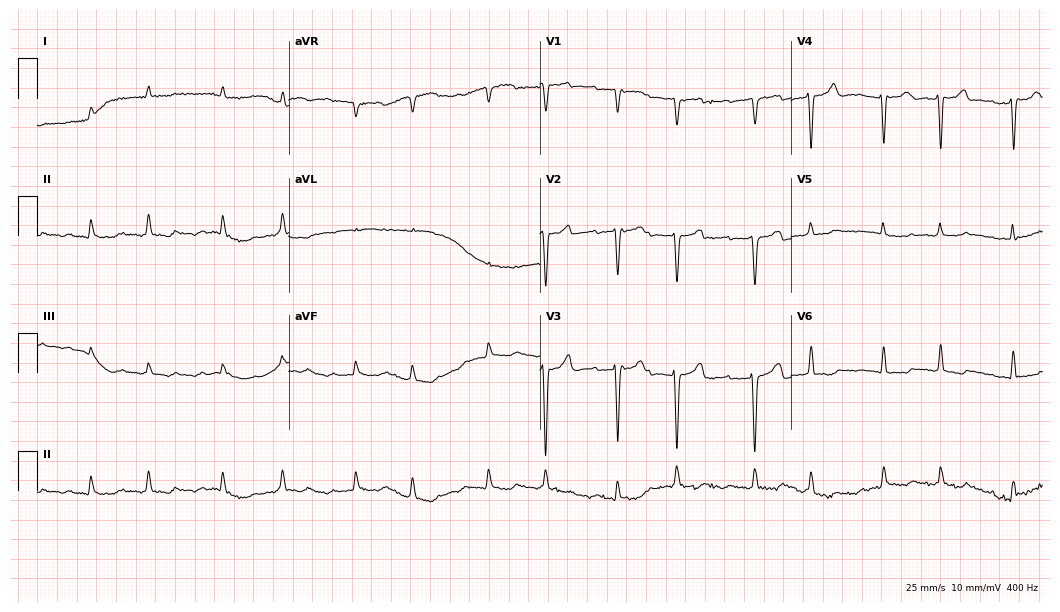
12-lead ECG from a man, 81 years old (10.2-second recording at 400 Hz). No first-degree AV block, right bundle branch block (RBBB), left bundle branch block (LBBB), sinus bradycardia, atrial fibrillation (AF) or sinus tachycardia recorded for this tracing. Other findings, if any, are not listed.